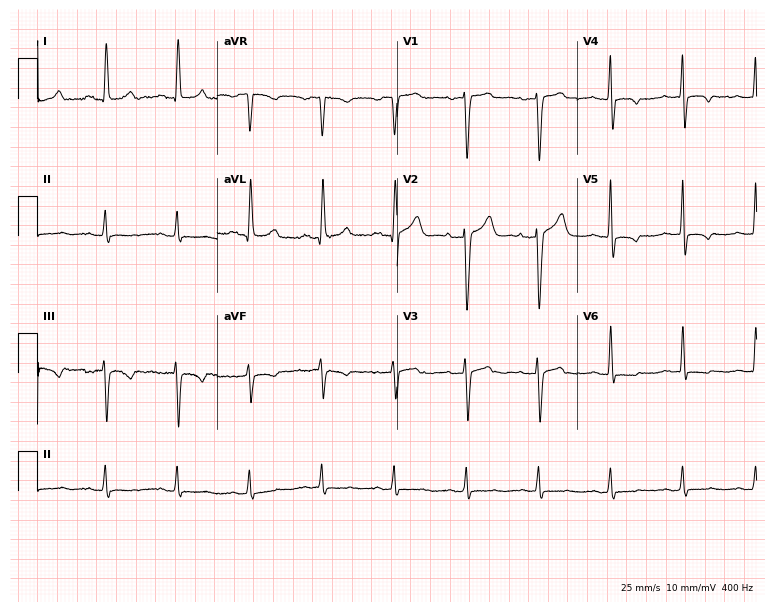
12-lead ECG from a 65-year-old female patient. Screened for six findings — first-degree AV block, right bundle branch block, left bundle branch block, sinus bradycardia, atrial fibrillation, sinus tachycardia — none is recorded. Only these six findings were labelled.